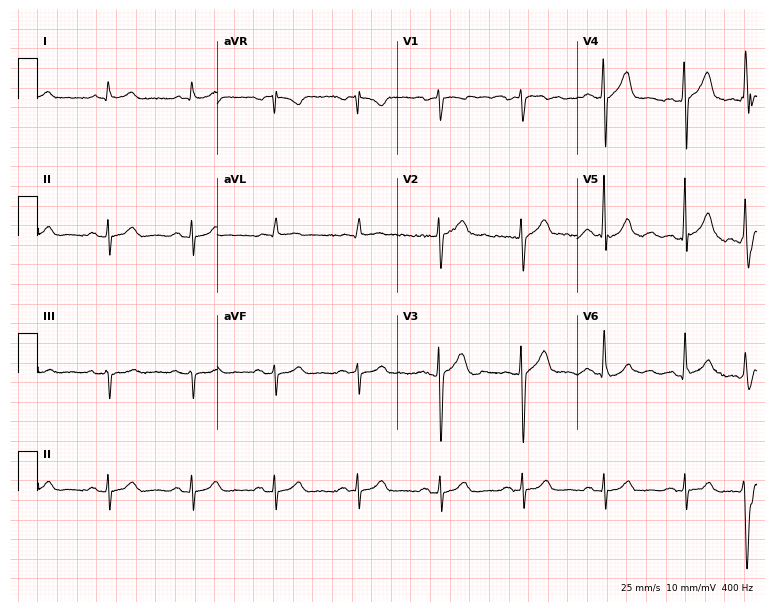
12-lead ECG from a male, 63 years old. No first-degree AV block, right bundle branch block, left bundle branch block, sinus bradycardia, atrial fibrillation or sinus tachycardia recorded for this tracing. Findings outside these six are not listed.